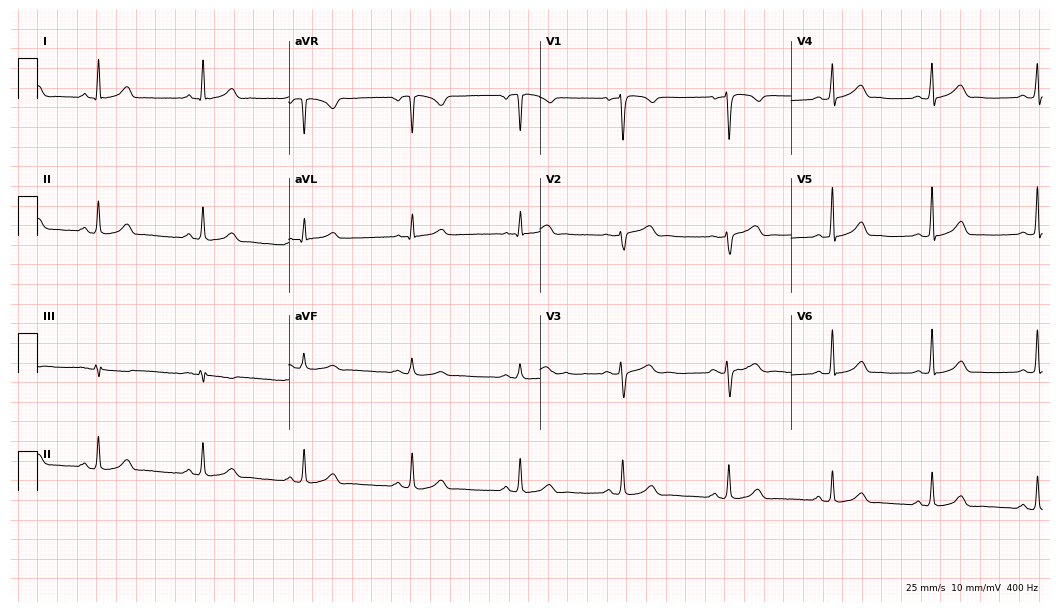
ECG — a female patient, 37 years old. Labelled as a normal ECG.